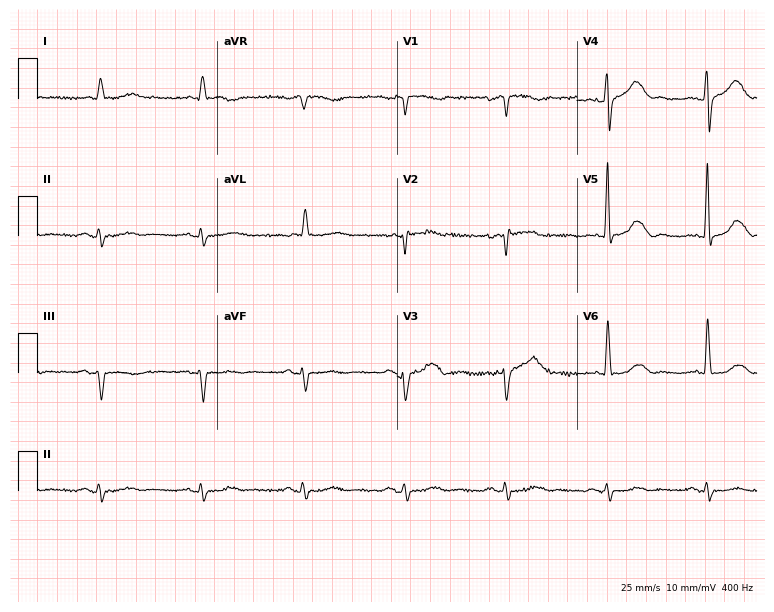
Resting 12-lead electrocardiogram. Patient: an 80-year-old male. None of these six findings is recorded: first-degree AV block, right bundle branch block, left bundle branch block, sinus bradycardia, atrial fibrillation, sinus tachycardia.